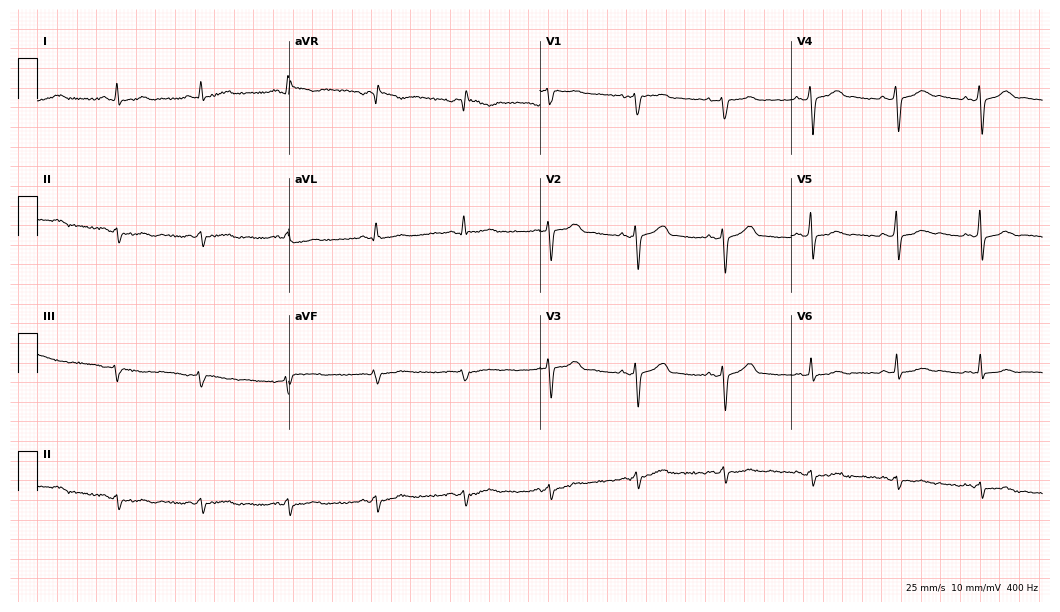
Electrocardiogram, a 49-year-old female. Of the six screened findings (first-degree AV block, right bundle branch block (RBBB), left bundle branch block (LBBB), sinus bradycardia, atrial fibrillation (AF), sinus tachycardia), none is recorded. Findings outside these six are not listed.